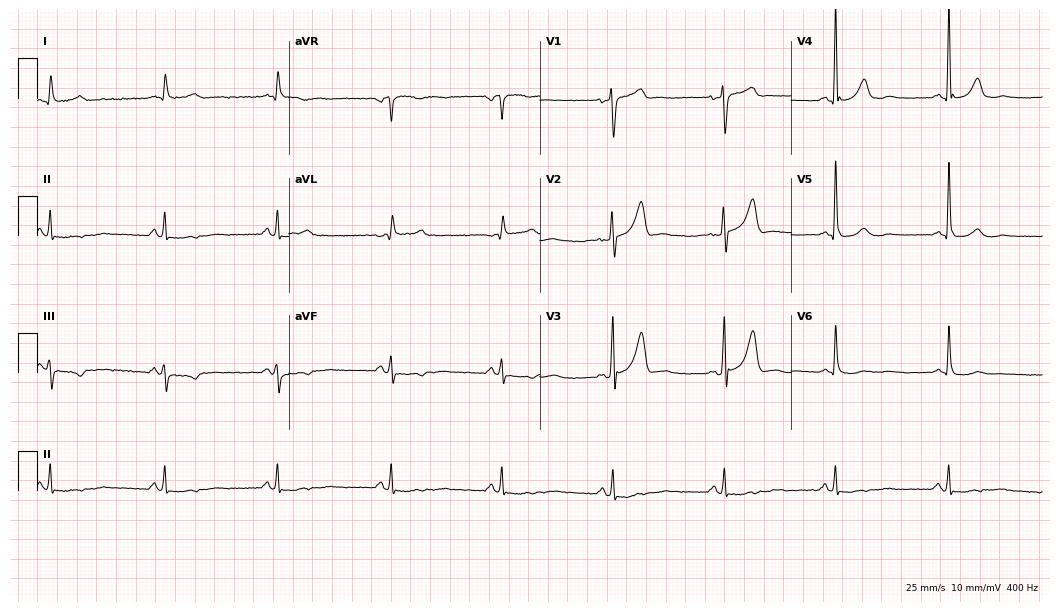
12-lead ECG (10.2-second recording at 400 Hz) from a man, 69 years old. Screened for six findings — first-degree AV block, right bundle branch block (RBBB), left bundle branch block (LBBB), sinus bradycardia, atrial fibrillation (AF), sinus tachycardia — none is recorded.